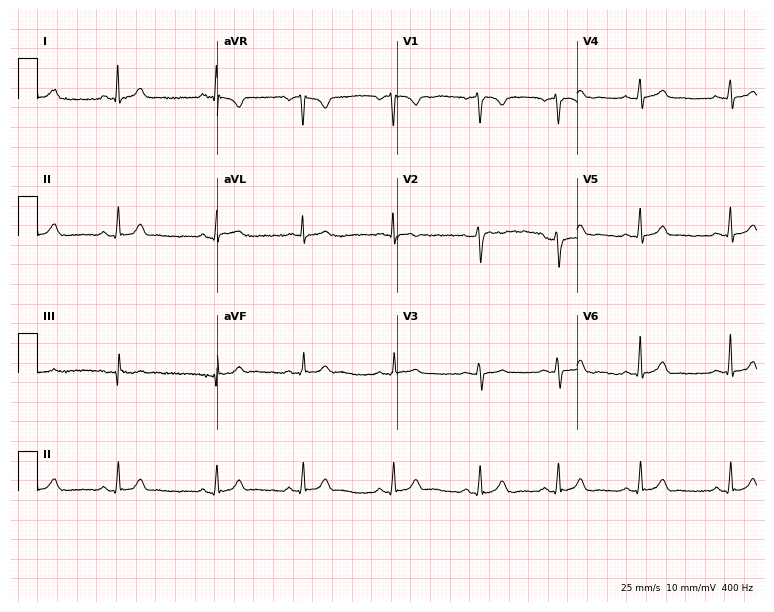
ECG (7.3-second recording at 400 Hz) — a 28-year-old female patient. Labelled as a normal ECG.